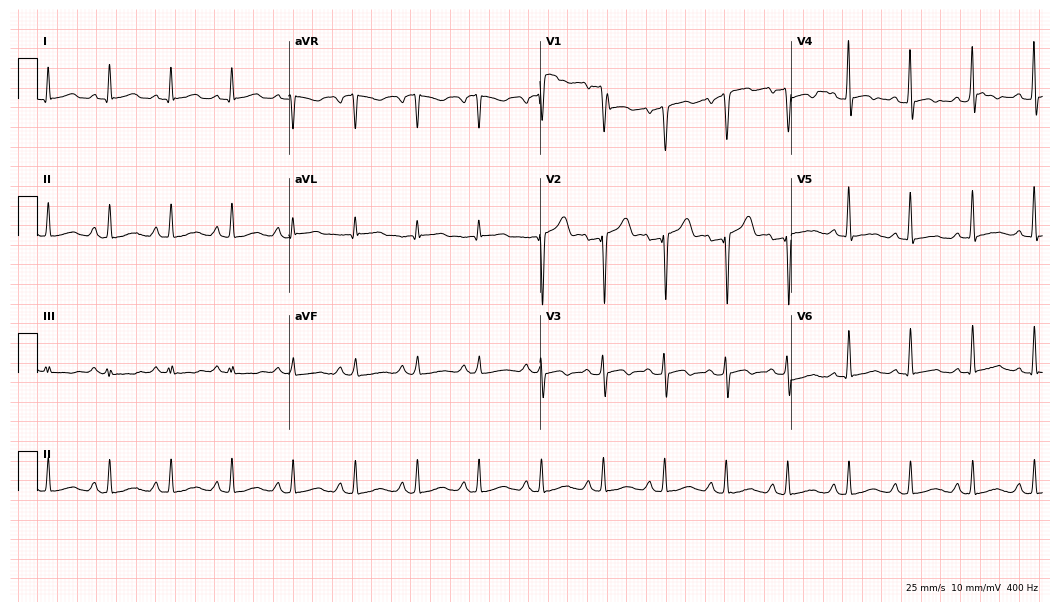
Resting 12-lead electrocardiogram. Patient: a 42-year-old man. None of these six findings is recorded: first-degree AV block, right bundle branch block, left bundle branch block, sinus bradycardia, atrial fibrillation, sinus tachycardia.